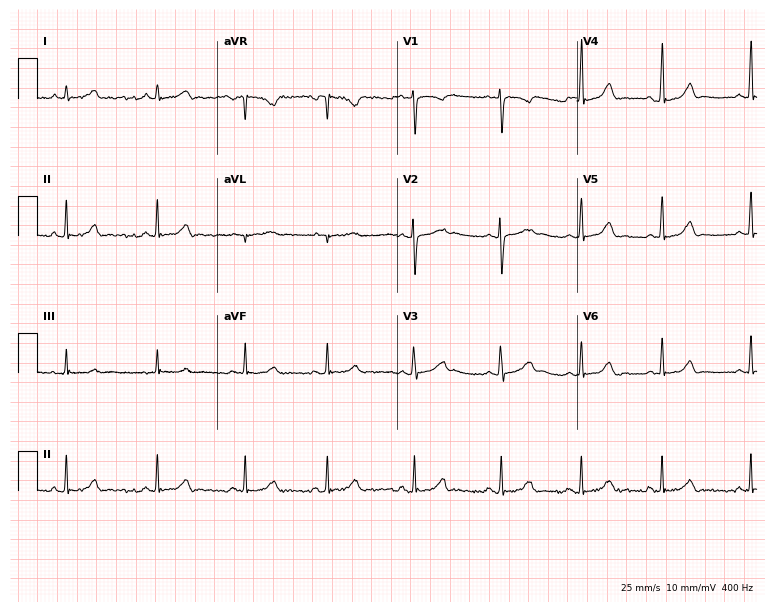
12-lead ECG (7.3-second recording at 400 Hz) from a 20-year-old woman. Screened for six findings — first-degree AV block, right bundle branch block, left bundle branch block, sinus bradycardia, atrial fibrillation, sinus tachycardia — none is recorded.